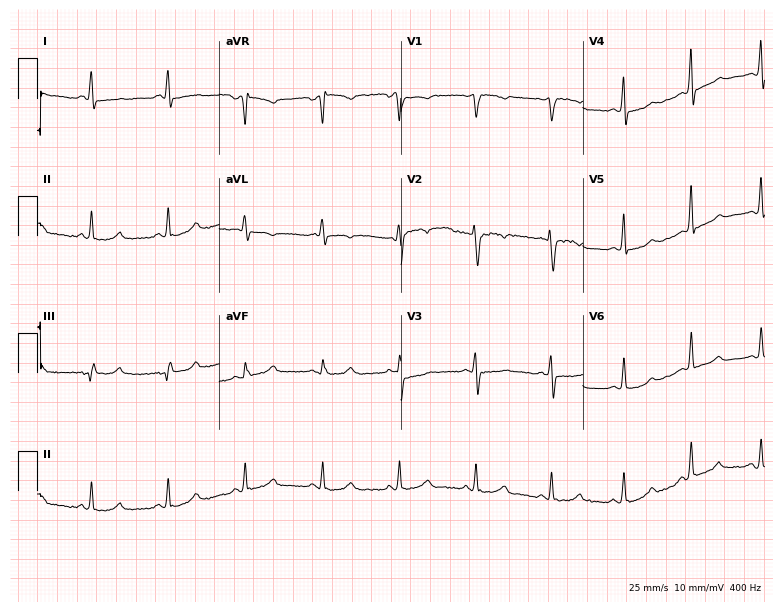
Resting 12-lead electrocardiogram (7.4-second recording at 400 Hz). Patient: a 50-year-old female. Read as a normal ECG.